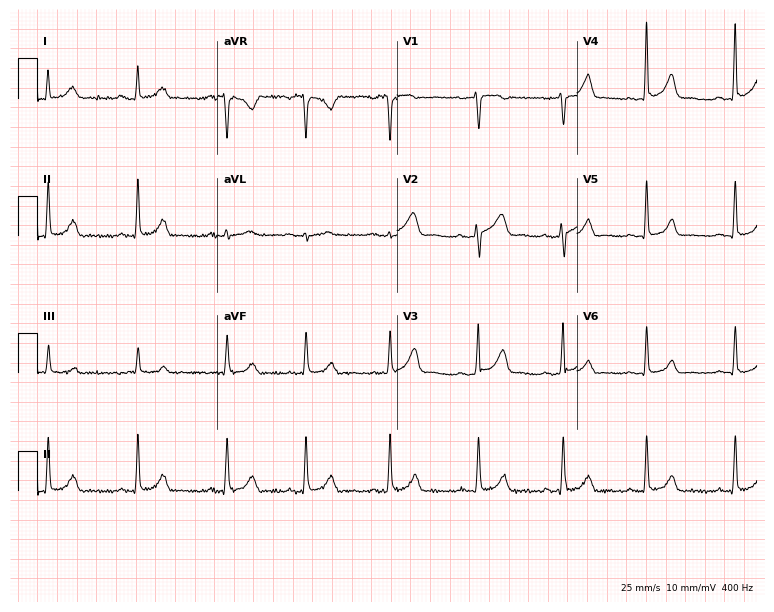
Electrocardiogram (7.3-second recording at 400 Hz), a 23-year-old female. Overall reading on record: normal ECG.